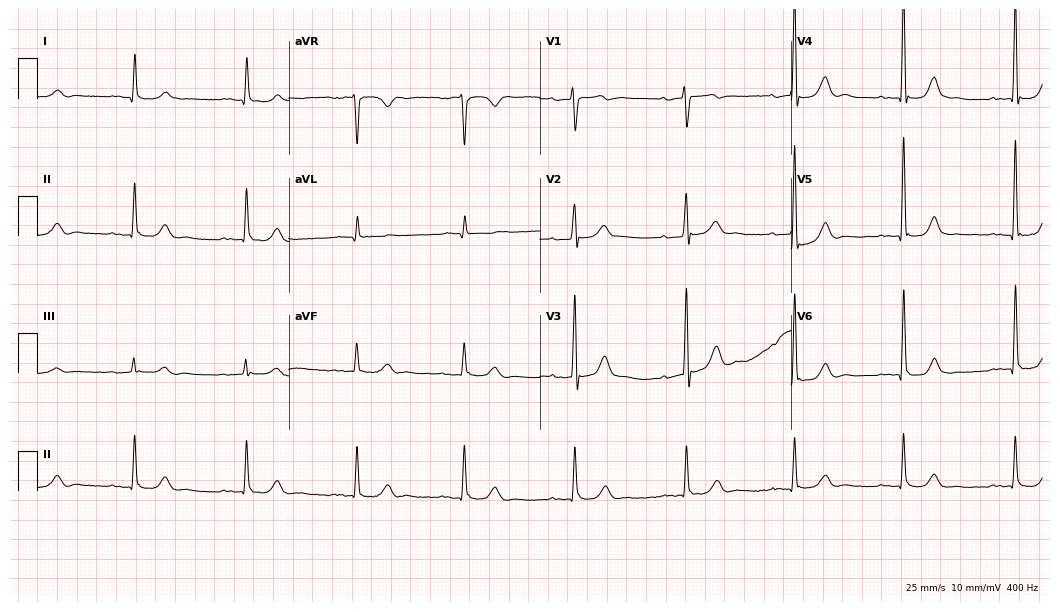
ECG (10.2-second recording at 400 Hz) — a male patient, 85 years old. Findings include first-degree AV block.